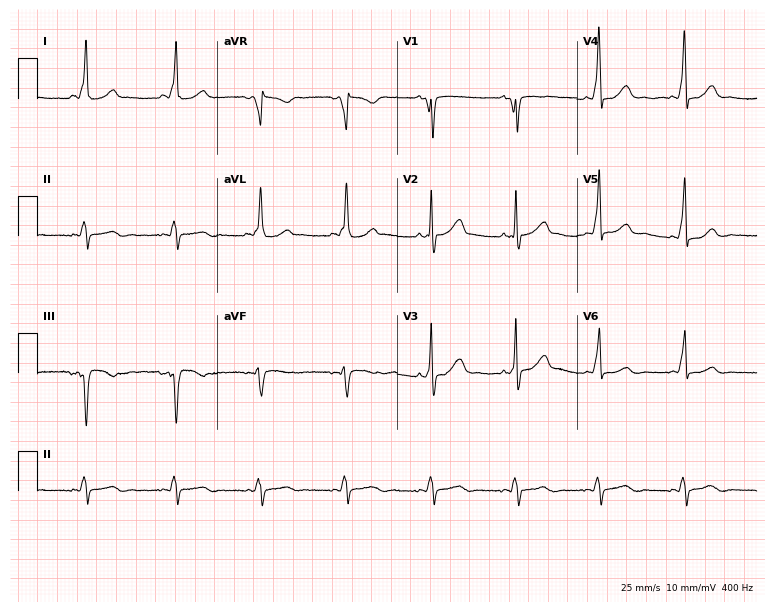
12-lead ECG from a female, 28 years old. No first-degree AV block, right bundle branch block, left bundle branch block, sinus bradycardia, atrial fibrillation or sinus tachycardia recorded for this tracing. Other findings, if any, are not listed.